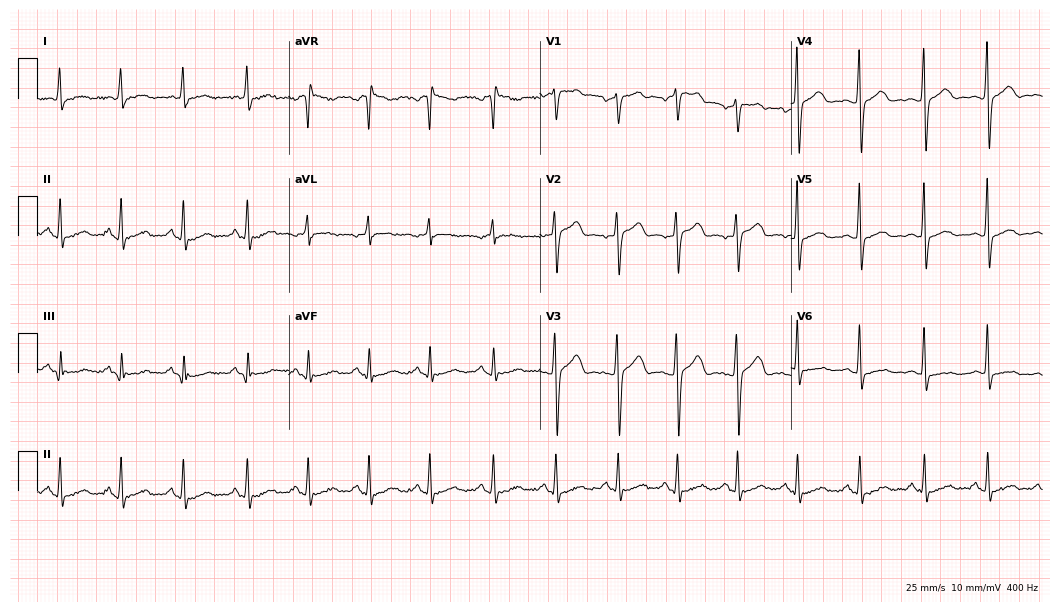
Electrocardiogram, a female patient, 74 years old. Overall reading on record: normal ECG.